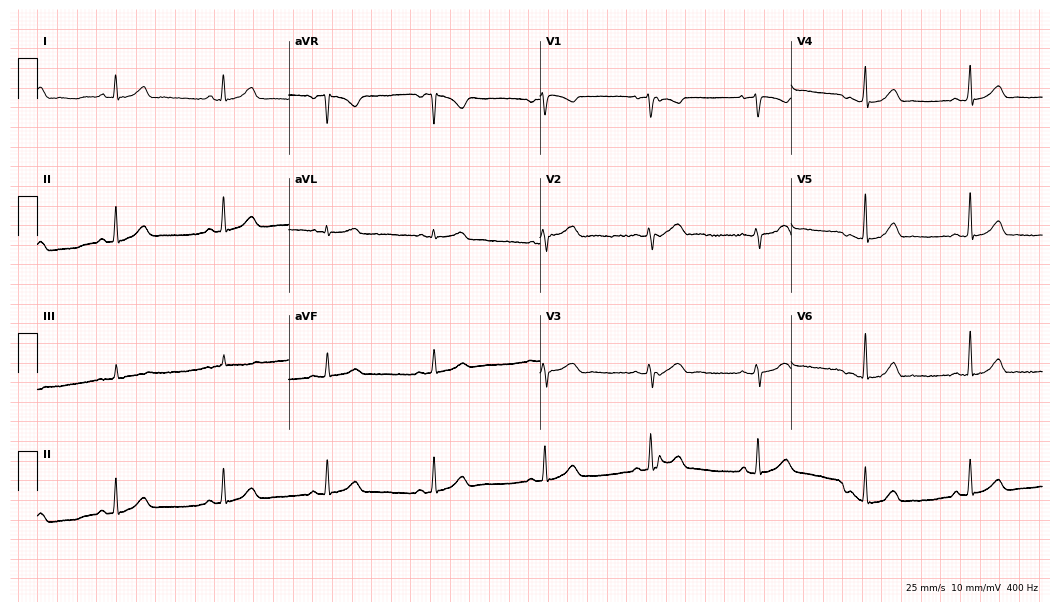
12-lead ECG from a 50-year-old woman. Labelled as a normal ECG.